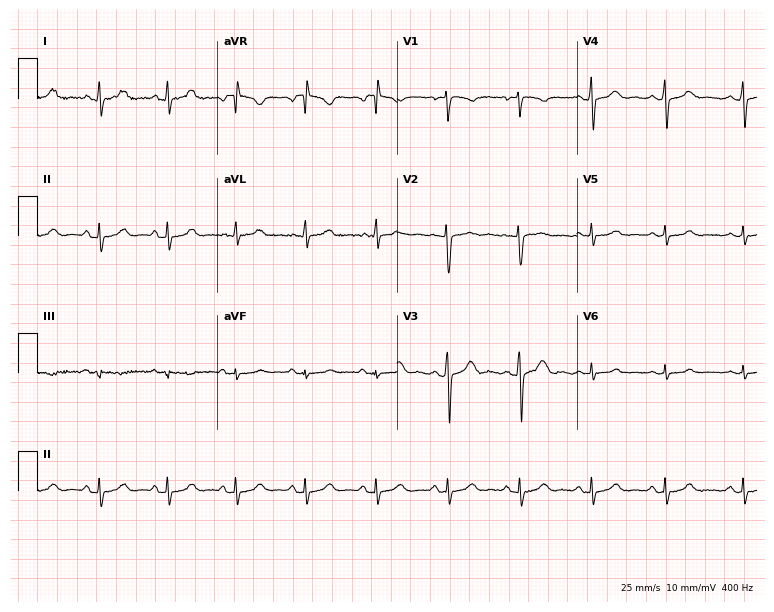
ECG (7.3-second recording at 400 Hz) — a 21-year-old female patient. Labelled as a normal ECG.